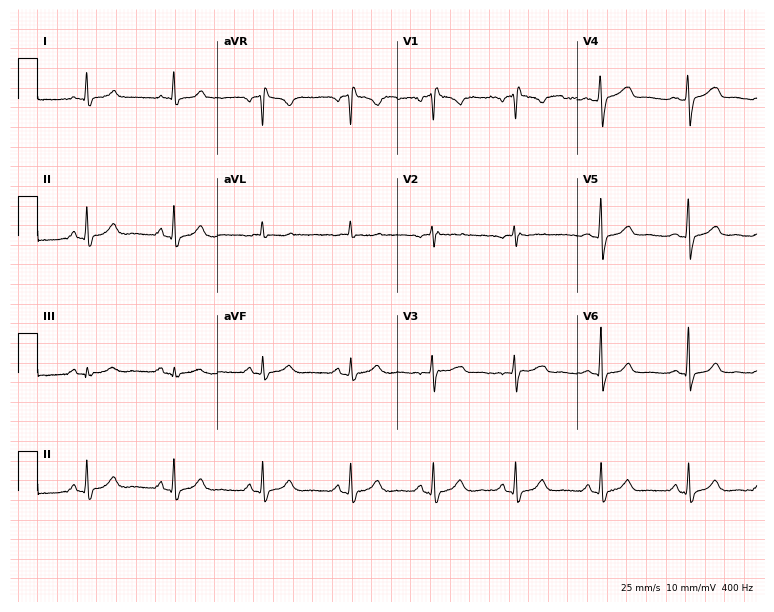
Electrocardiogram (7.3-second recording at 400 Hz), a woman, 47 years old. Of the six screened findings (first-degree AV block, right bundle branch block, left bundle branch block, sinus bradycardia, atrial fibrillation, sinus tachycardia), none is recorded.